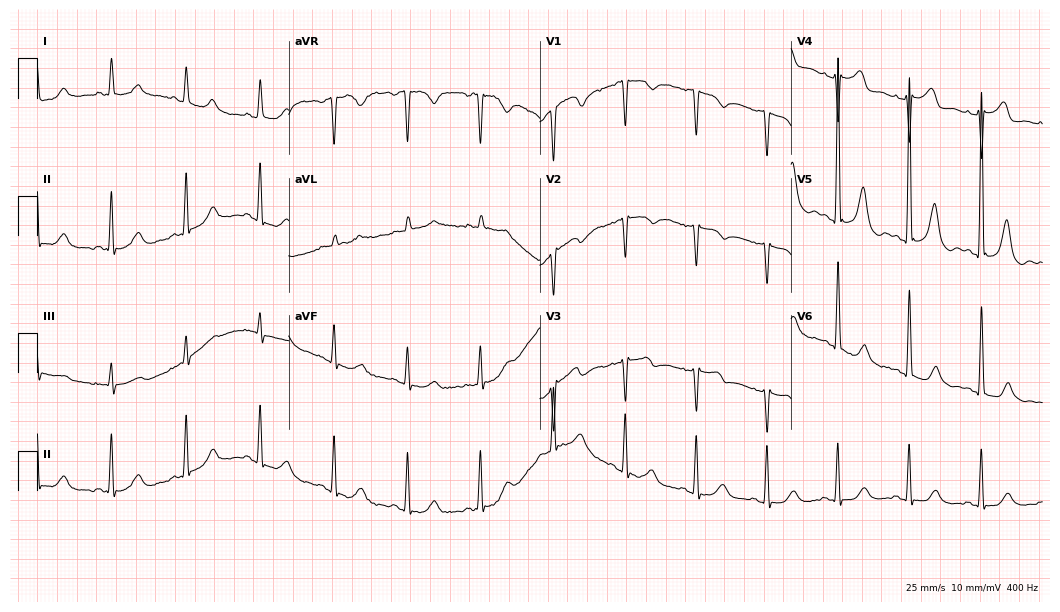
ECG (10.2-second recording at 400 Hz) — a 74-year-old man. Screened for six findings — first-degree AV block, right bundle branch block, left bundle branch block, sinus bradycardia, atrial fibrillation, sinus tachycardia — none is recorded. Findings outside these six are not listed.